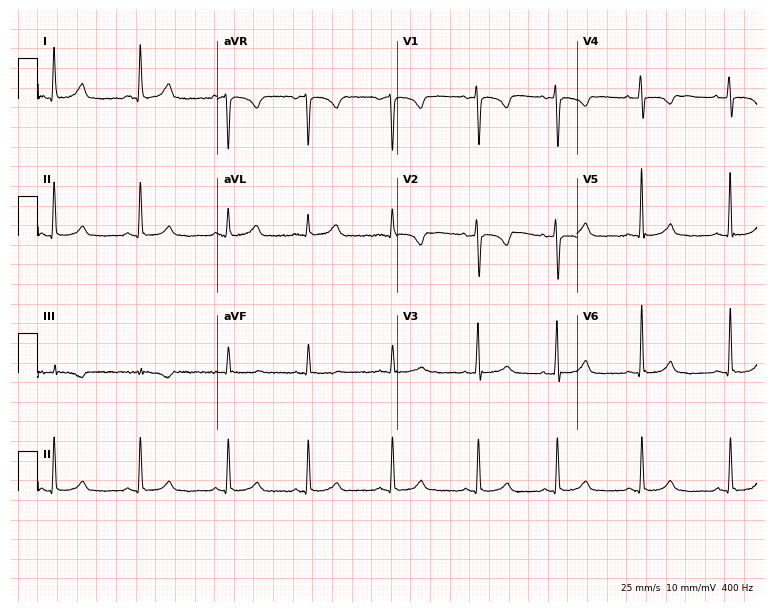
12-lead ECG (7.3-second recording at 400 Hz) from a 23-year-old female patient. Labelled as a normal ECG.